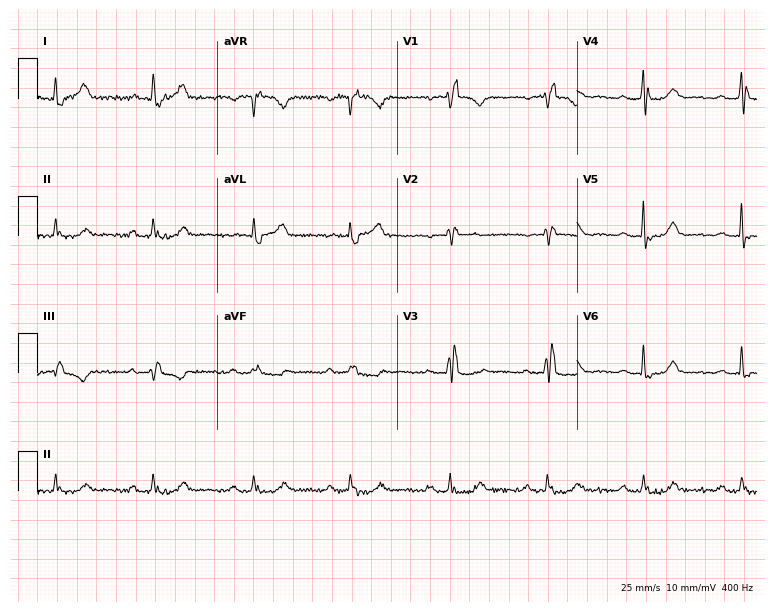
12-lead ECG from a 78-year-old female patient (7.3-second recording at 400 Hz). Shows right bundle branch block (RBBB).